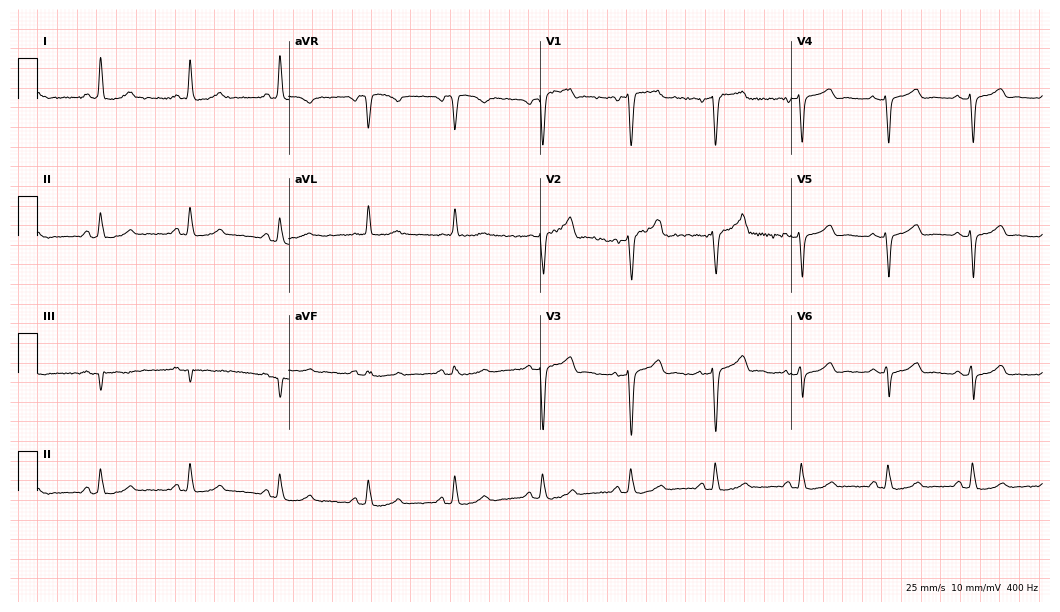
ECG — a 51-year-old female. Screened for six findings — first-degree AV block, right bundle branch block, left bundle branch block, sinus bradycardia, atrial fibrillation, sinus tachycardia — none is recorded. Only these six findings were labelled.